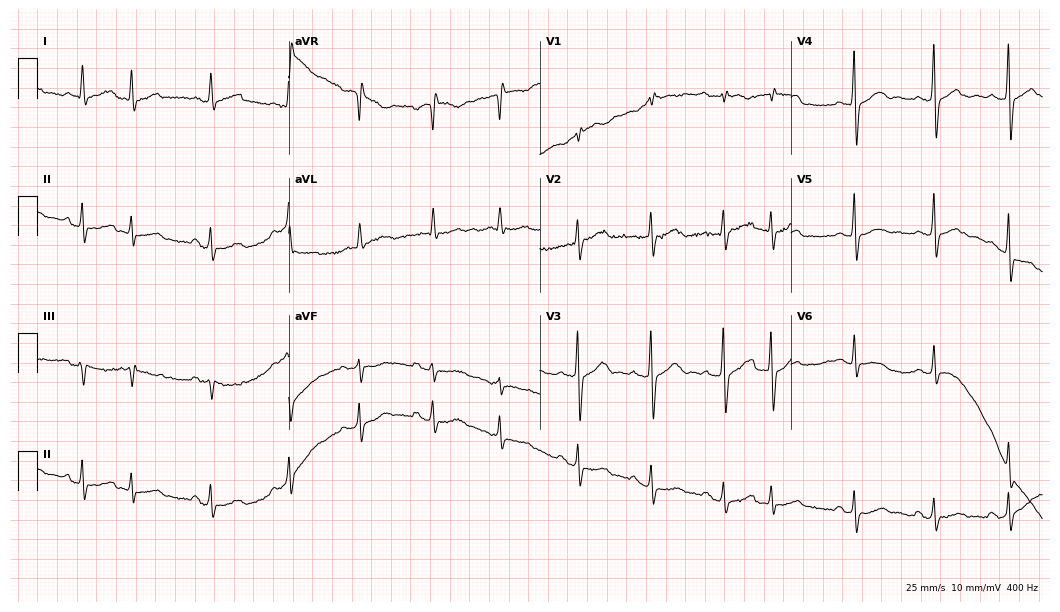
Standard 12-lead ECG recorded from a 70-year-old man. None of these six findings is recorded: first-degree AV block, right bundle branch block, left bundle branch block, sinus bradycardia, atrial fibrillation, sinus tachycardia.